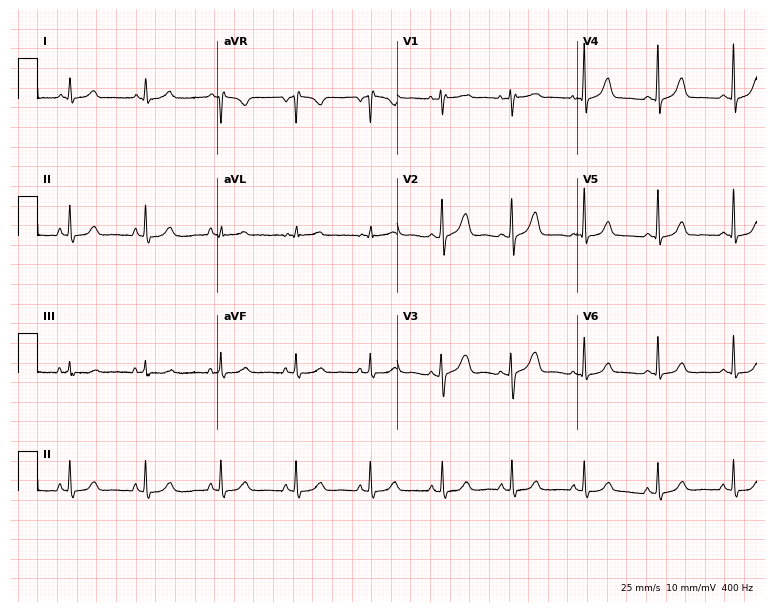
12-lead ECG from a female patient, 47 years old. Labelled as a normal ECG.